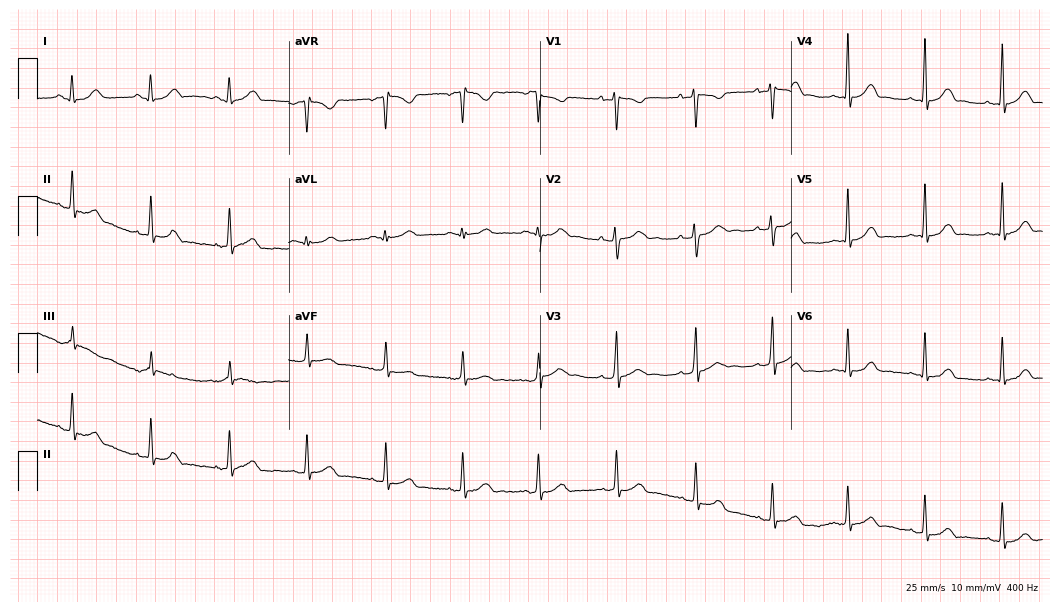
Standard 12-lead ECG recorded from an 18-year-old woman. Read as a normal ECG.